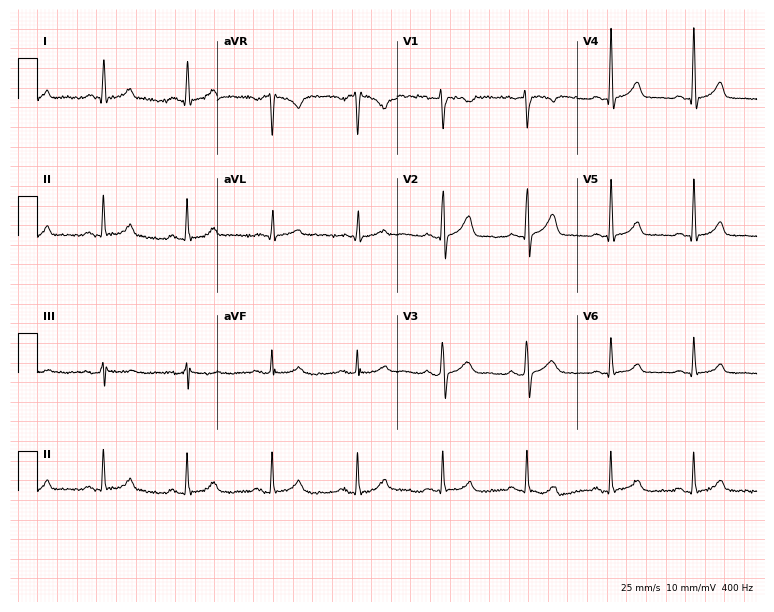
Standard 12-lead ECG recorded from a female, 37 years old (7.3-second recording at 400 Hz). None of these six findings is recorded: first-degree AV block, right bundle branch block (RBBB), left bundle branch block (LBBB), sinus bradycardia, atrial fibrillation (AF), sinus tachycardia. Other findings, if any, are not listed.